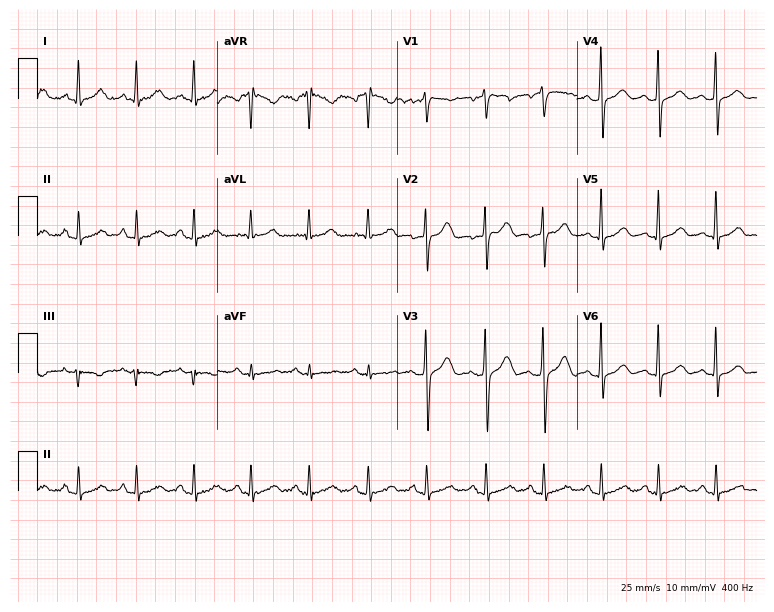
12-lead ECG from a woman, 50 years old. Recorded interpretation: within normal limits.